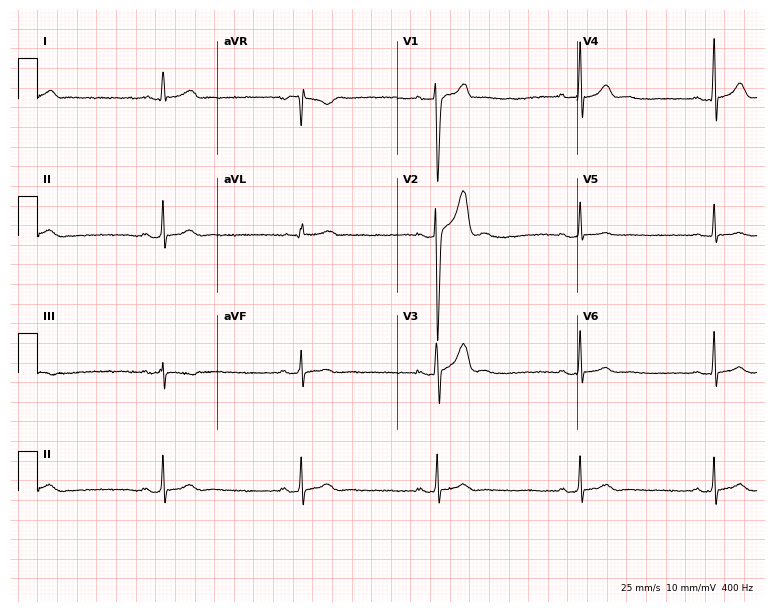
Standard 12-lead ECG recorded from a male, 24 years old. The tracing shows sinus bradycardia (a sinus rate of 50 beats per minute or less).